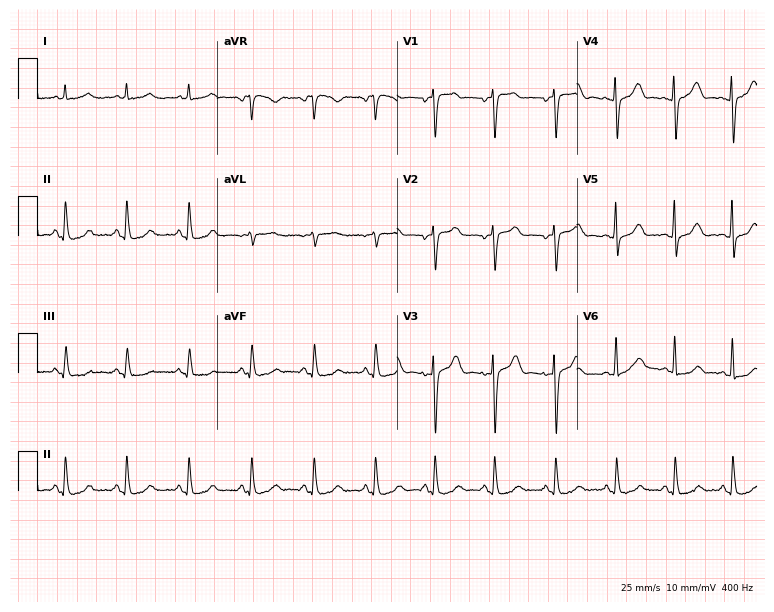
Standard 12-lead ECG recorded from a 49-year-old female patient. None of these six findings is recorded: first-degree AV block, right bundle branch block, left bundle branch block, sinus bradycardia, atrial fibrillation, sinus tachycardia.